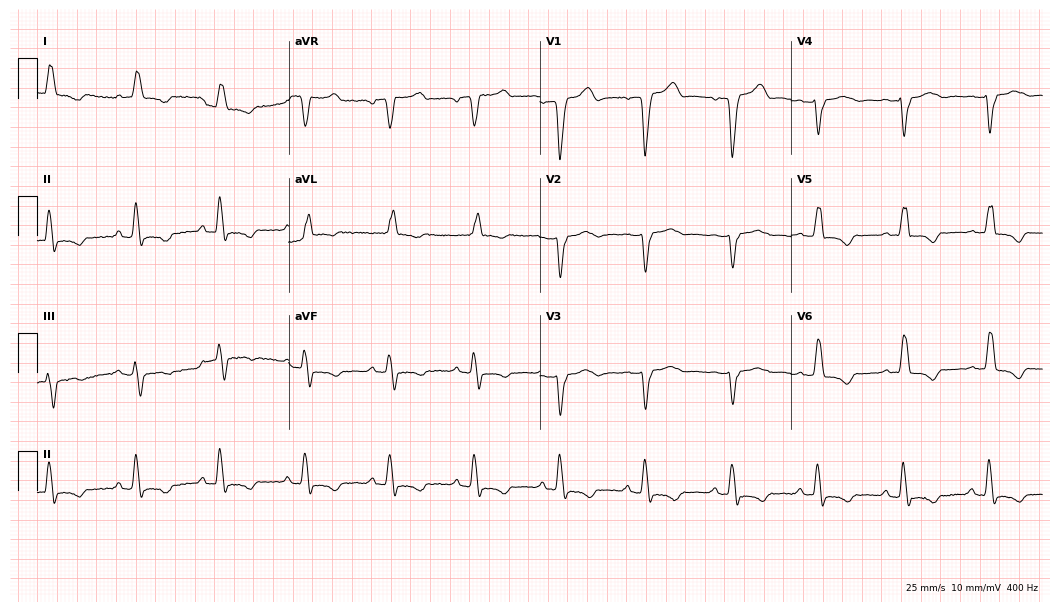
Standard 12-lead ECG recorded from an 84-year-old man (10.2-second recording at 400 Hz). None of these six findings is recorded: first-degree AV block, right bundle branch block, left bundle branch block, sinus bradycardia, atrial fibrillation, sinus tachycardia.